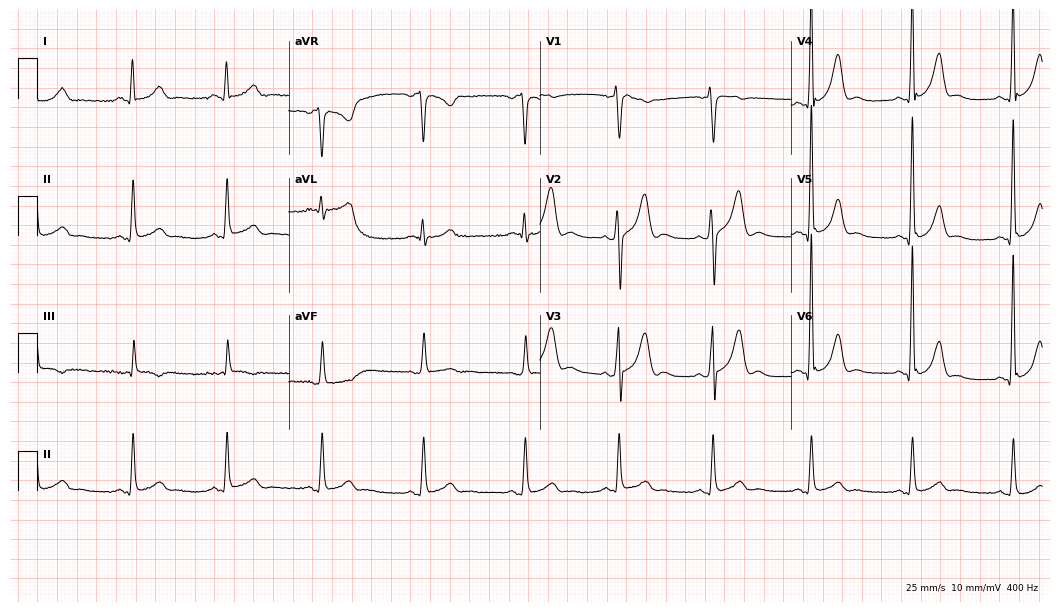
ECG (10.2-second recording at 400 Hz) — a man, 58 years old. Screened for six findings — first-degree AV block, right bundle branch block, left bundle branch block, sinus bradycardia, atrial fibrillation, sinus tachycardia — none is recorded. Only these six findings were labelled.